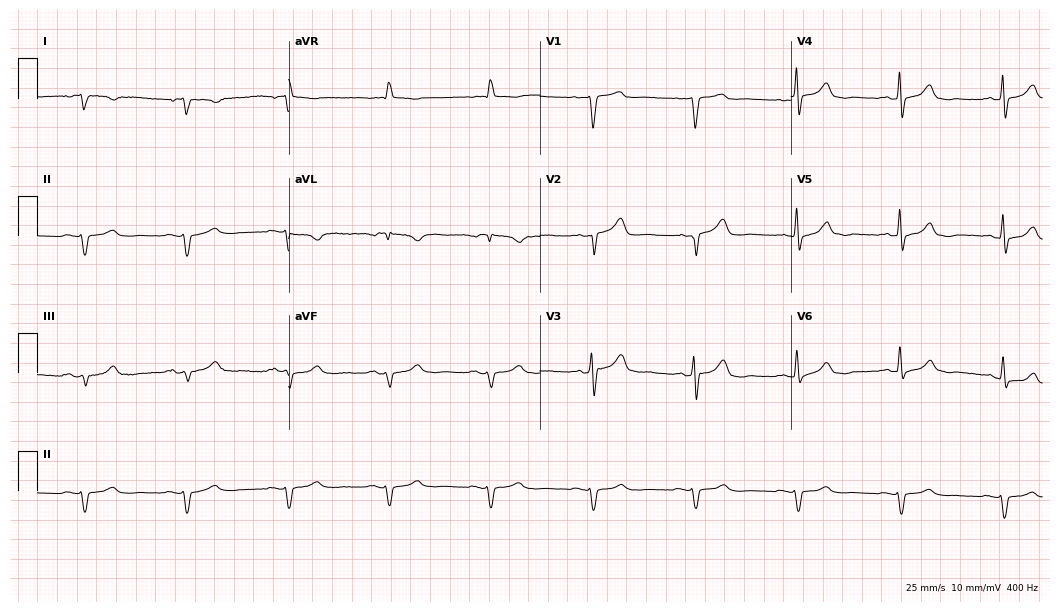
12-lead ECG from an 81-year-old male. No first-degree AV block, right bundle branch block, left bundle branch block, sinus bradycardia, atrial fibrillation or sinus tachycardia recorded for this tracing.